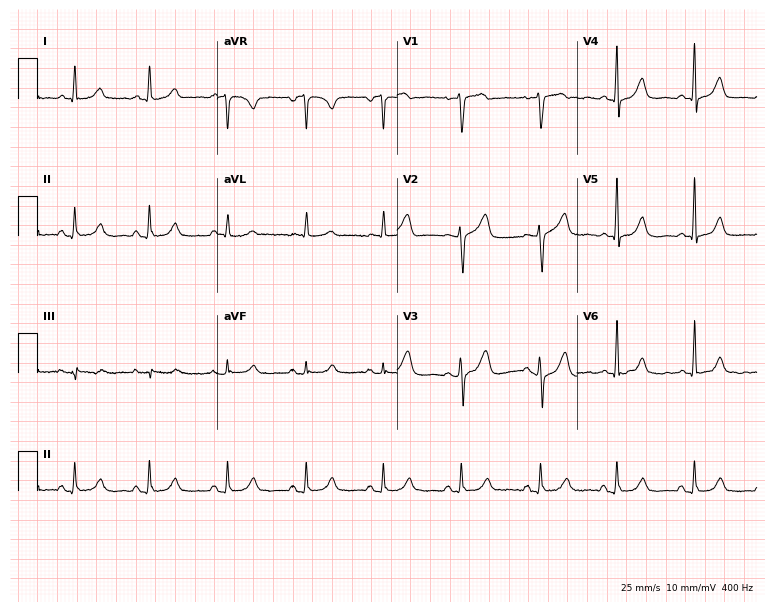
12-lead ECG from a 68-year-old female (7.3-second recording at 400 Hz). No first-degree AV block, right bundle branch block, left bundle branch block, sinus bradycardia, atrial fibrillation or sinus tachycardia recorded for this tracing.